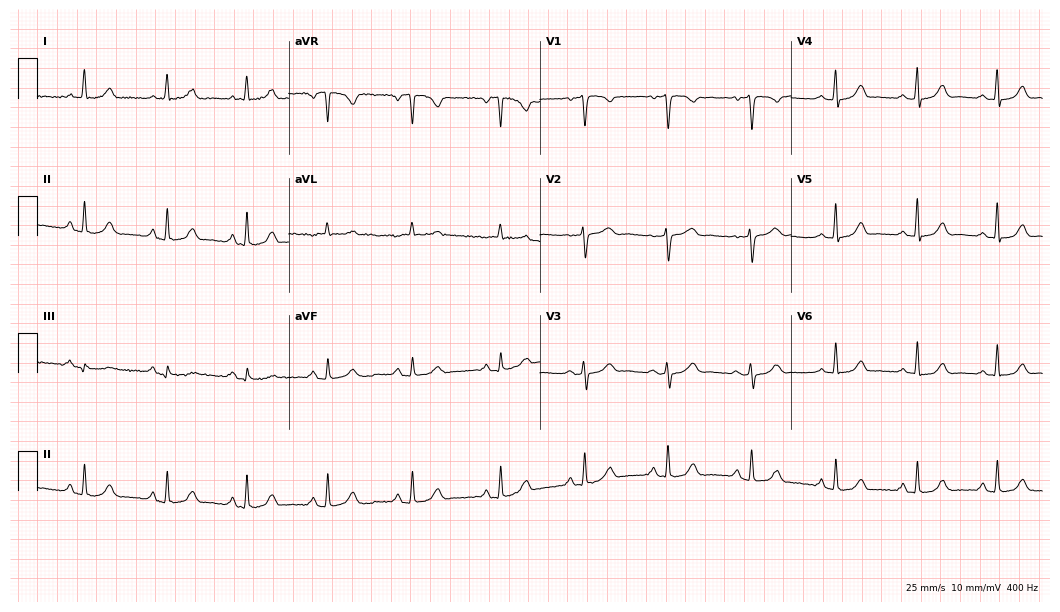
Resting 12-lead electrocardiogram. Patient: a 51-year-old woman. Read as a normal ECG.